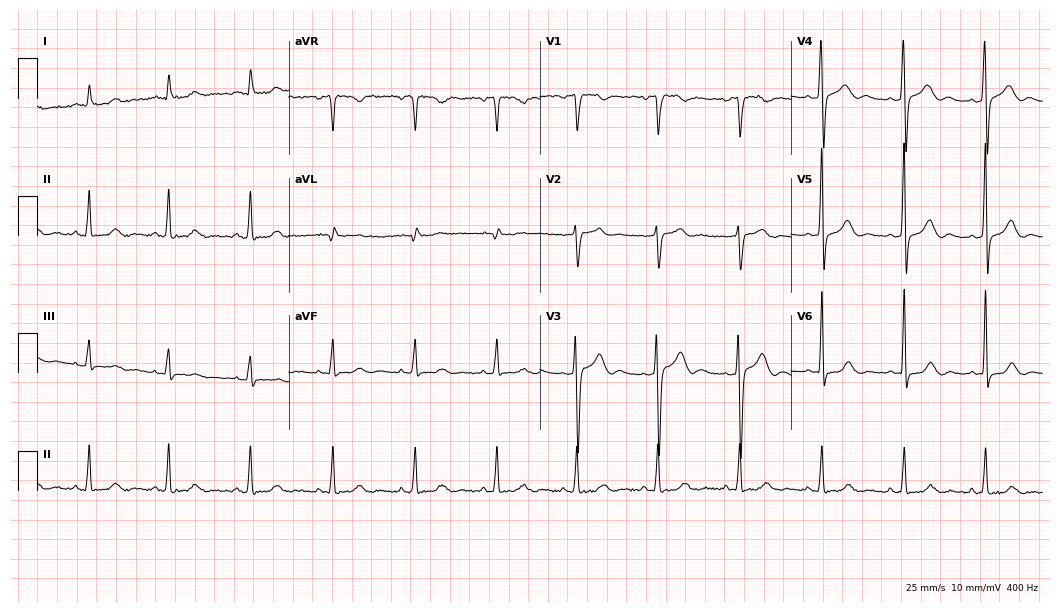
Resting 12-lead electrocardiogram. Patient: a female, 45 years old. Read as a normal ECG.